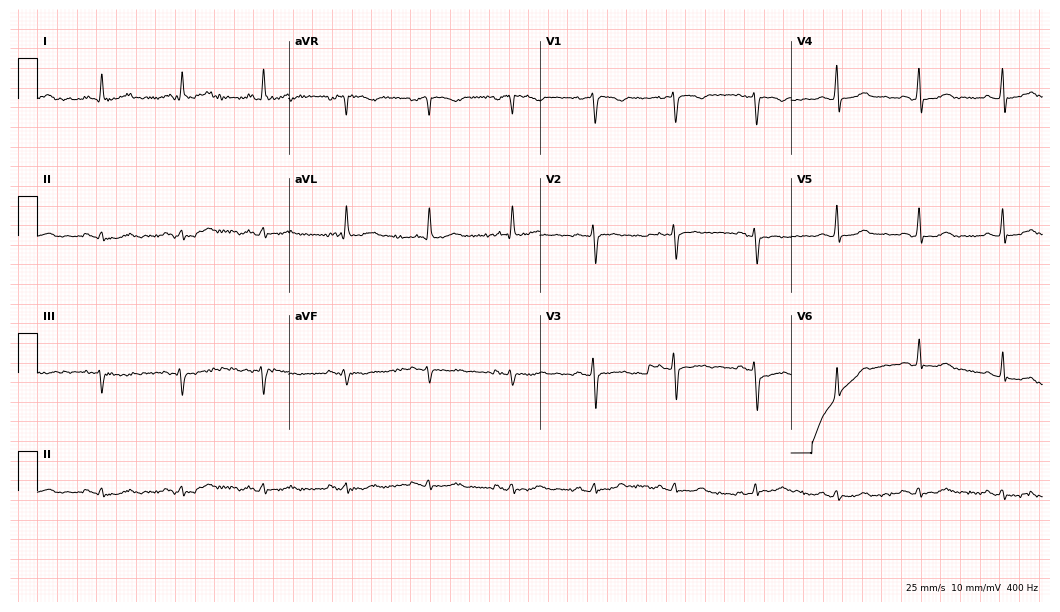
ECG (10.2-second recording at 400 Hz) — a 67-year-old female patient. Screened for six findings — first-degree AV block, right bundle branch block (RBBB), left bundle branch block (LBBB), sinus bradycardia, atrial fibrillation (AF), sinus tachycardia — none is recorded.